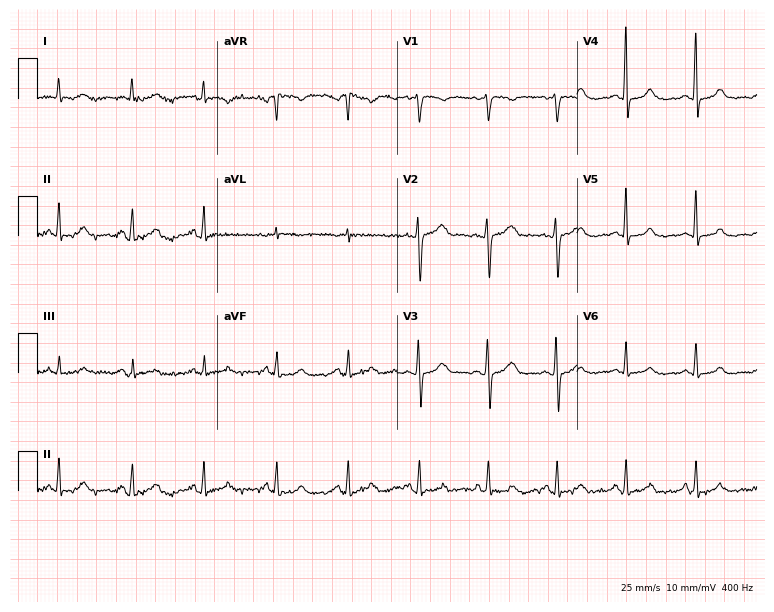
12-lead ECG from a 33-year-old female. No first-degree AV block, right bundle branch block (RBBB), left bundle branch block (LBBB), sinus bradycardia, atrial fibrillation (AF) or sinus tachycardia recorded for this tracing. Findings outside these six are not listed.